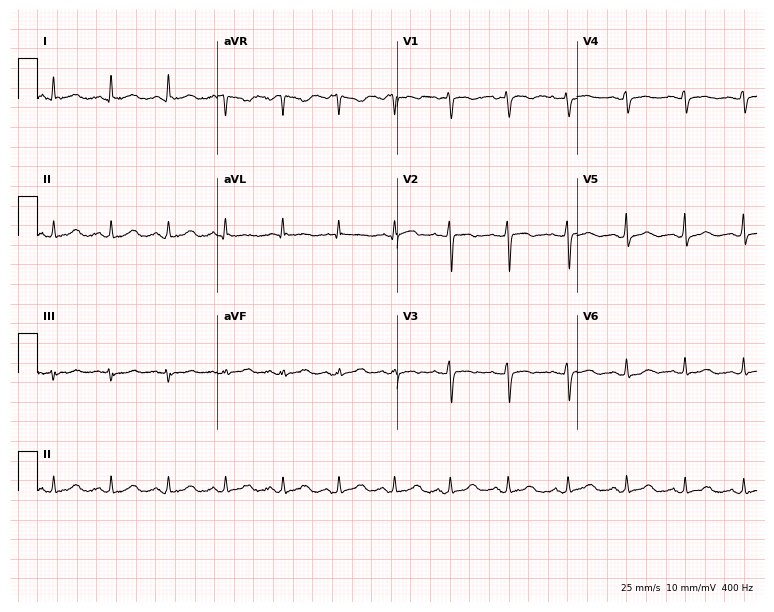
Standard 12-lead ECG recorded from a 47-year-old female. The tracing shows sinus tachycardia (a sinus rate of 100 beats per minute or more).